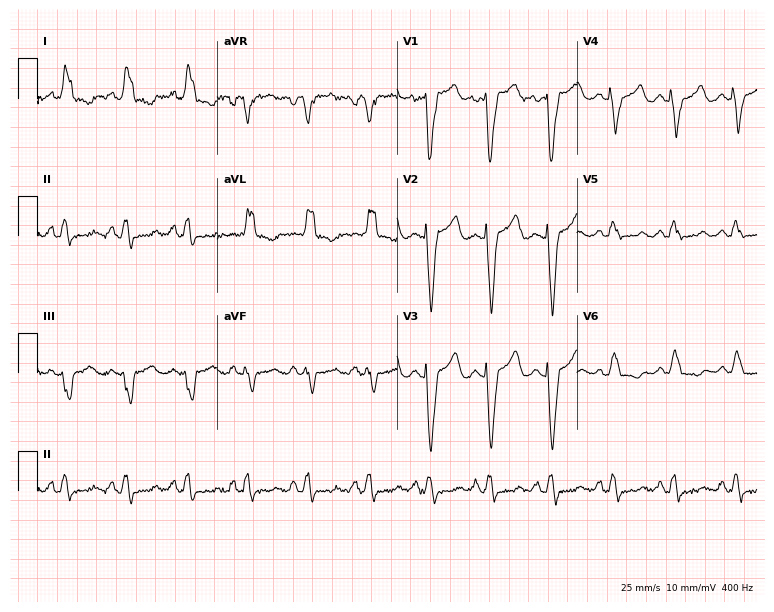
ECG (7.3-second recording at 400 Hz) — a 50-year-old woman. Findings include left bundle branch block.